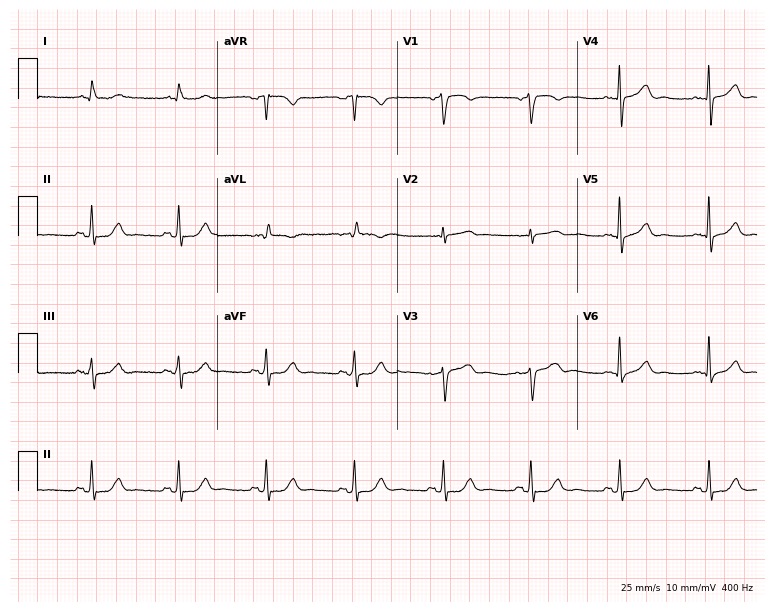
Resting 12-lead electrocardiogram (7.3-second recording at 400 Hz). Patient: a man, 70 years old. Read as a normal ECG.